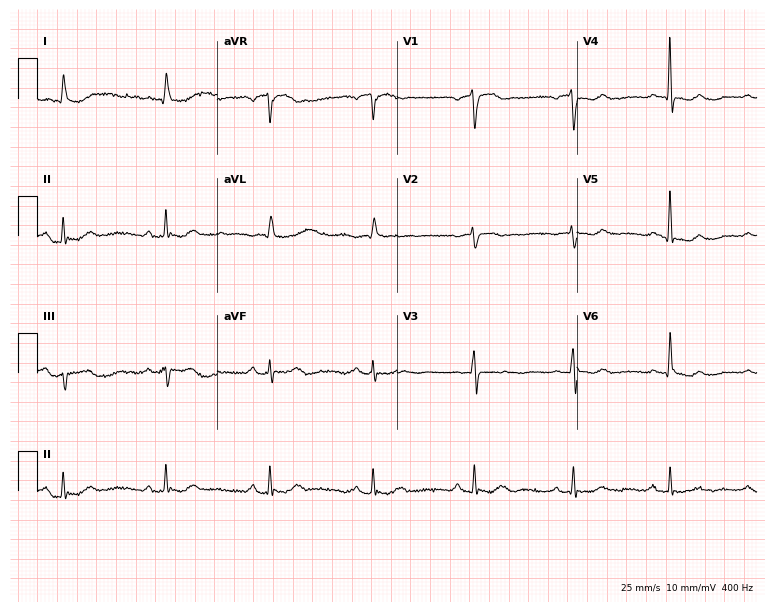
Resting 12-lead electrocardiogram. Patient: a female, 77 years old. Read as a normal ECG.